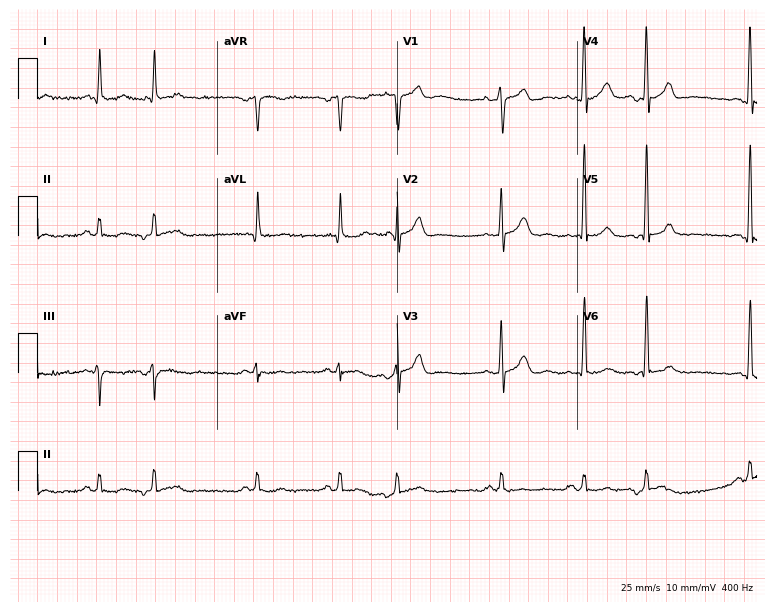
12-lead ECG from a 62-year-old male patient (7.3-second recording at 400 Hz). No first-degree AV block, right bundle branch block (RBBB), left bundle branch block (LBBB), sinus bradycardia, atrial fibrillation (AF) or sinus tachycardia recorded for this tracing. Only these six findings were labelled.